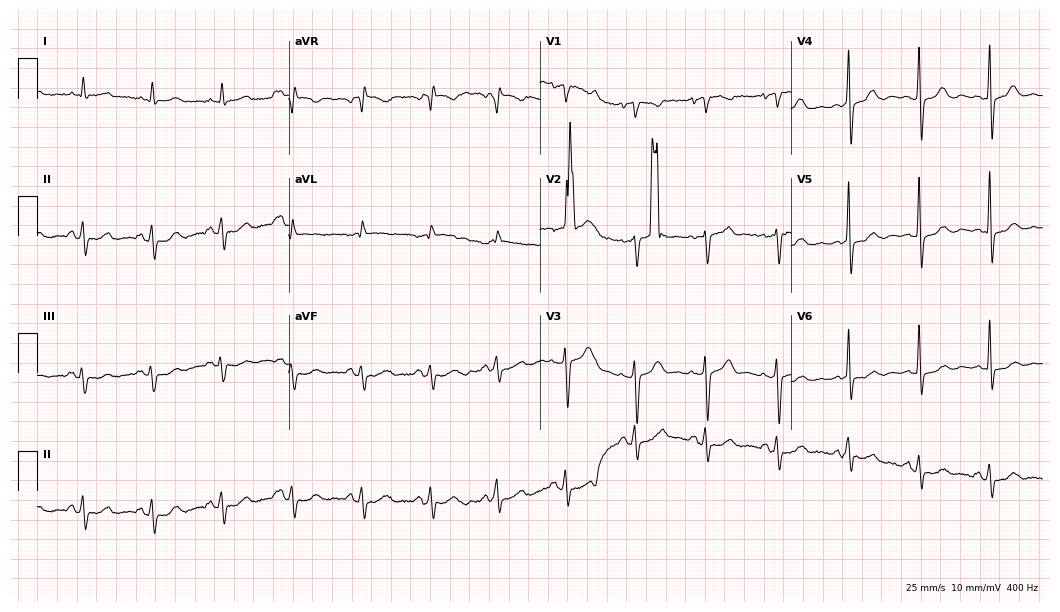
12-lead ECG from a woman, 74 years old (10.2-second recording at 400 Hz). No first-degree AV block, right bundle branch block (RBBB), left bundle branch block (LBBB), sinus bradycardia, atrial fibrillation (AF) or sinus tachycardia recorded for this tracing.